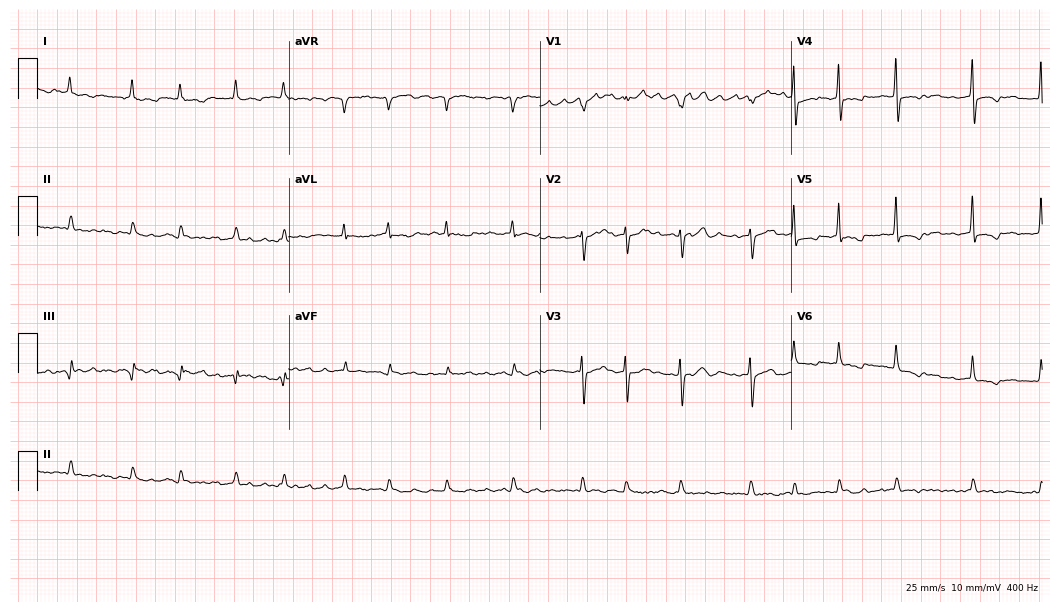
Resting 12-lead electrocardiogram. Patient: a female, 69 years old. None of these six findings is recorded: first-degree AV block, right bundle branch block, left bundle branch block, sinus bradycardia, atrial fibrillation, sinus tachycardia.